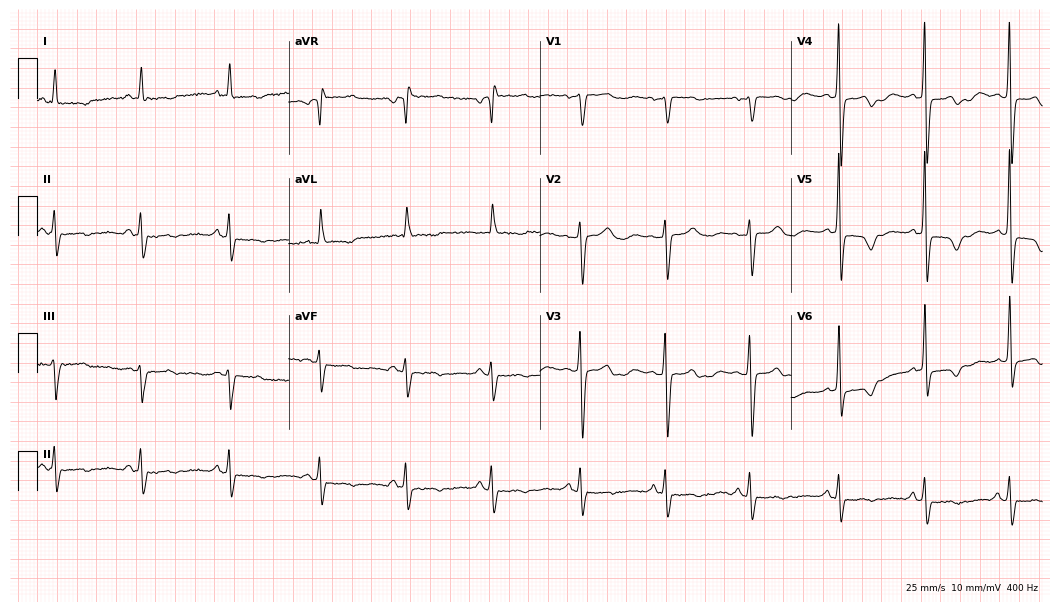
12-lead ECG from a female patient, 76 years old (10.2-second recording at 400 Hz). No first-degree AV block, right bundle branch block, left bundle branch block, sinus bradycardia, atrial fibrillation or sinus tachycardia recorded for this tracing. Only these six findings were labelled.